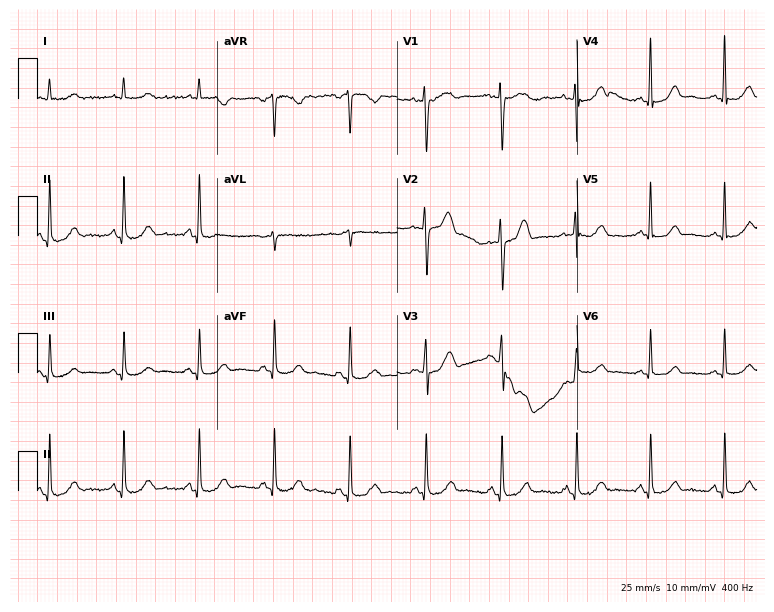
12-lead ECG from a 39-year-old woman (7.3-second recording at 400 Hz). Recorded interpretation: within normal limits.